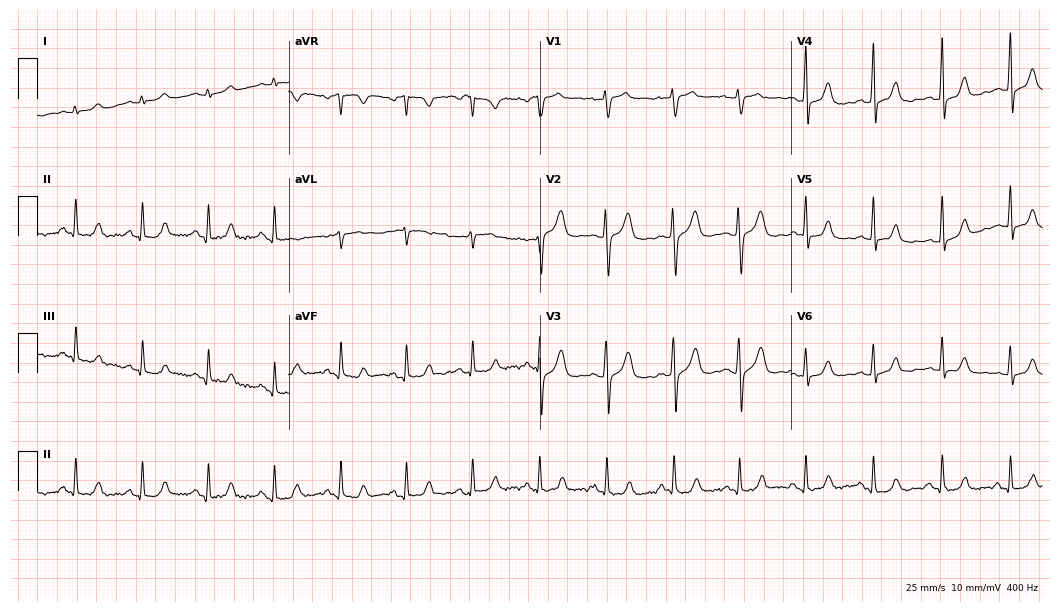
ECG (10.2-second recording at 400 Hz) — a 45-year-old male. Screened for six findings — first-degree AV block, right bundle branch block (RBBB), left bundle branch block (LBBB), sinus bradycardia, atrial fibrillation (AF), sinus tachycardia — none is recorded. Findings outside these six are not listed.